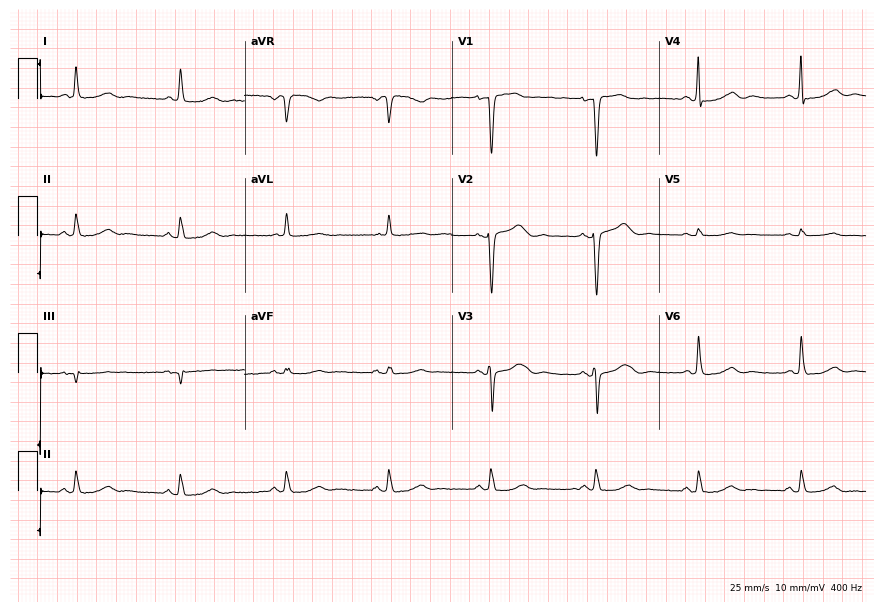
12-lead ECG (8.4-second recording at 400 Hz) from a female patient, 61 years old. Labelled as a normal ECG.